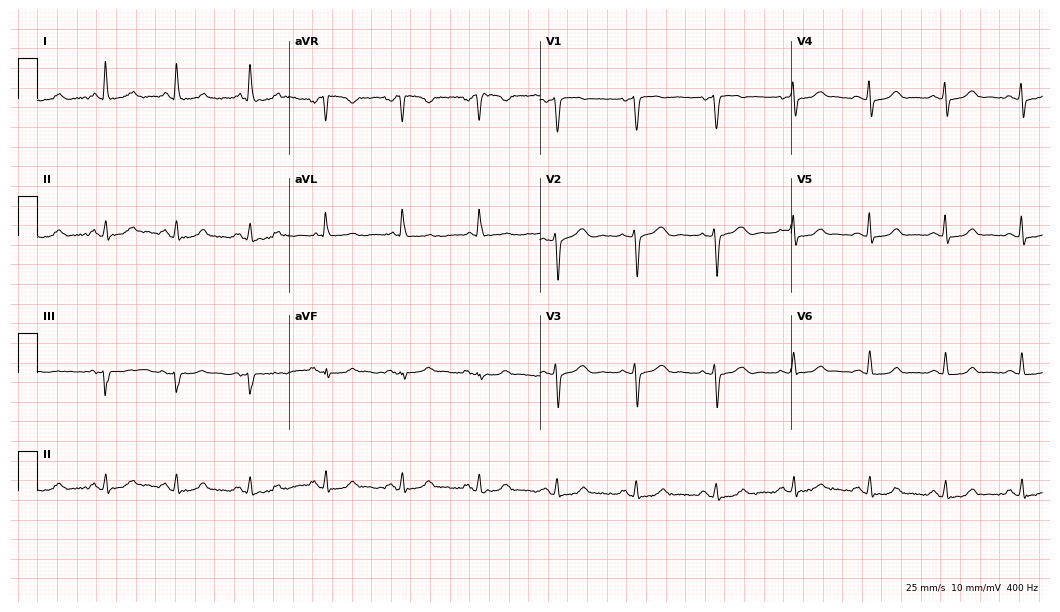
12-lead ECG from a 49-year-old female patient. No first-degree AV block, right bundle branch block, left bundle branch block, sinus bradycardia, atrial fibrillation or sinus tachycardia recorded for this tracing.